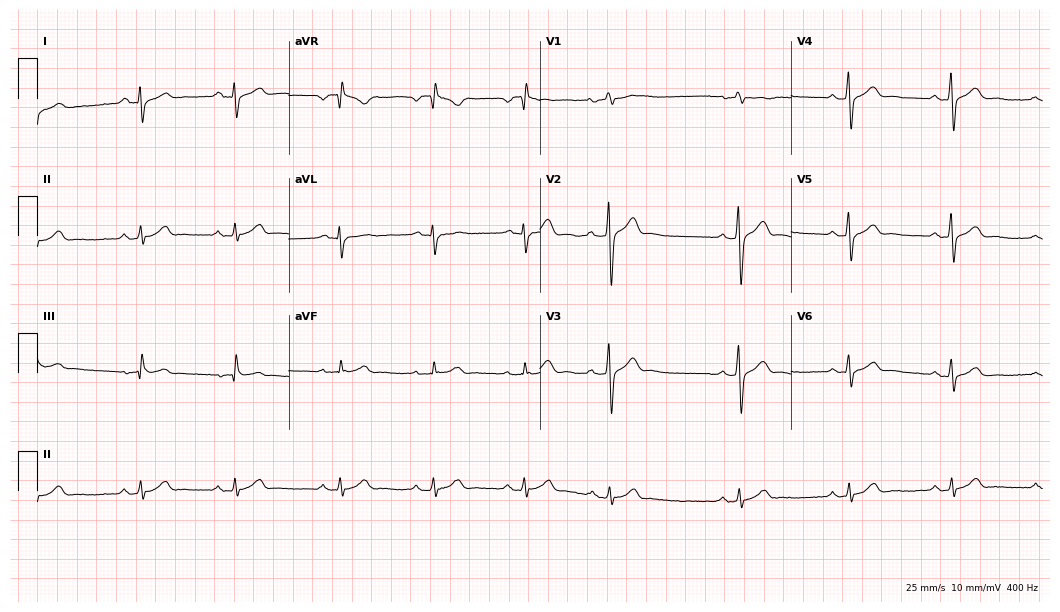
Standard 12-lead ECG recorded from a 38-year-old man. None of these six findings is recorded: first-degree AV block, right bundle branch block, left bundle branch block, sinus bradycardia, atrial fibrillation, sinus tachycardia. Findings outside these six are not listed.